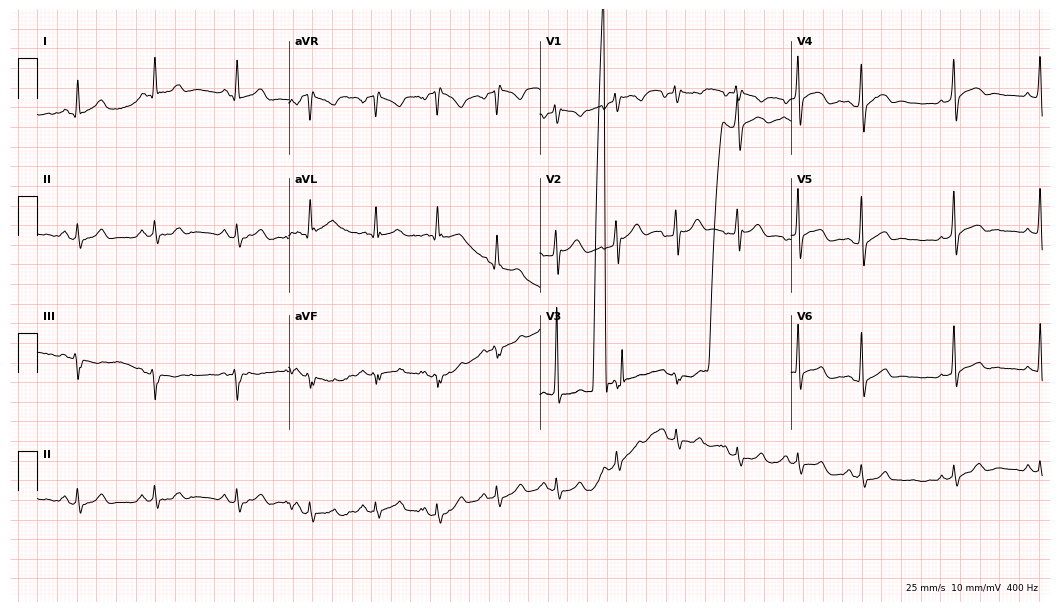
Electrocardiogram, a 34-year-old male. Of the six screened findings (first-degree AV block, right bundle branch block, left bundle branch block, sinus bradycardia, atrial fibrillation, sinus tachycardia), none is recorded.